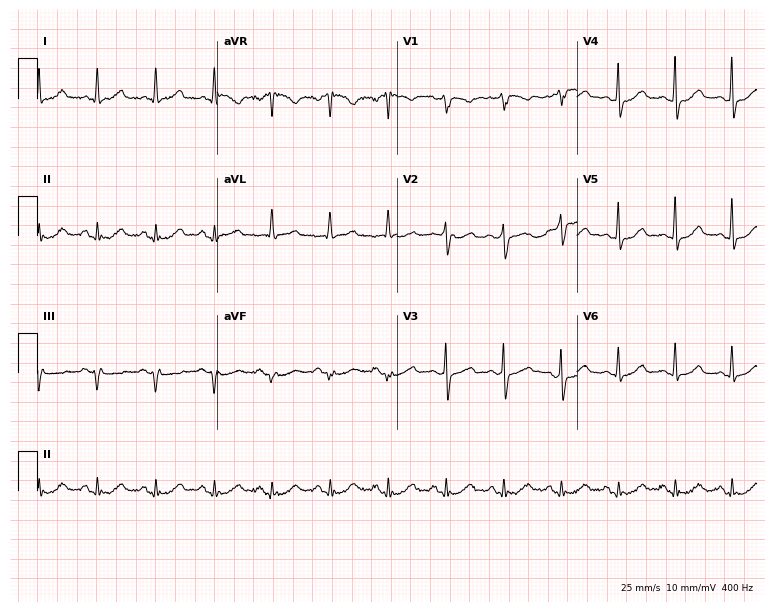
12-lead ECG from a female, 58 years old. Shows sinus tachycardia (a sinus rate of 100 beats per minute or more).